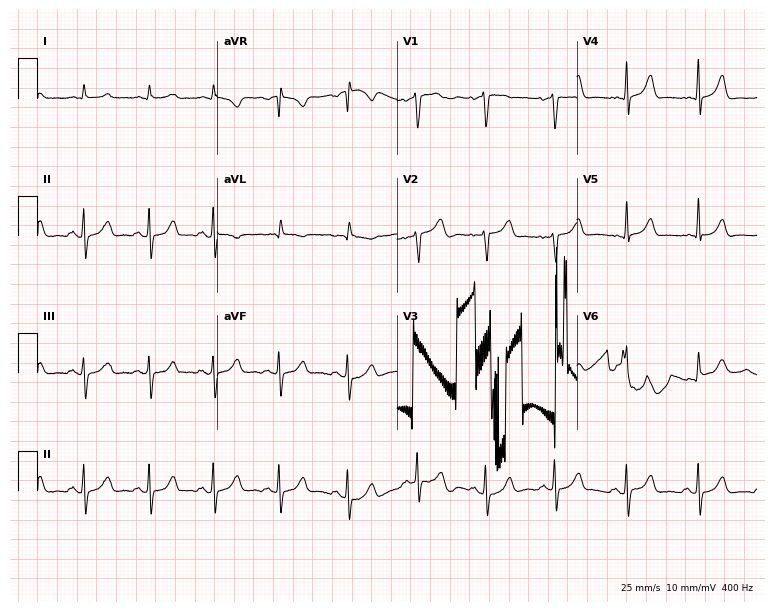
Standard 12-lead ECG recorded from a 42-year-old man. None of these six findings is recorded: first-degree AV block, right bundle branch block, left bundle branch block, sinus bradycardia, atrial fibrillation, sinus tachycardia. Findings outside these six are not listed.